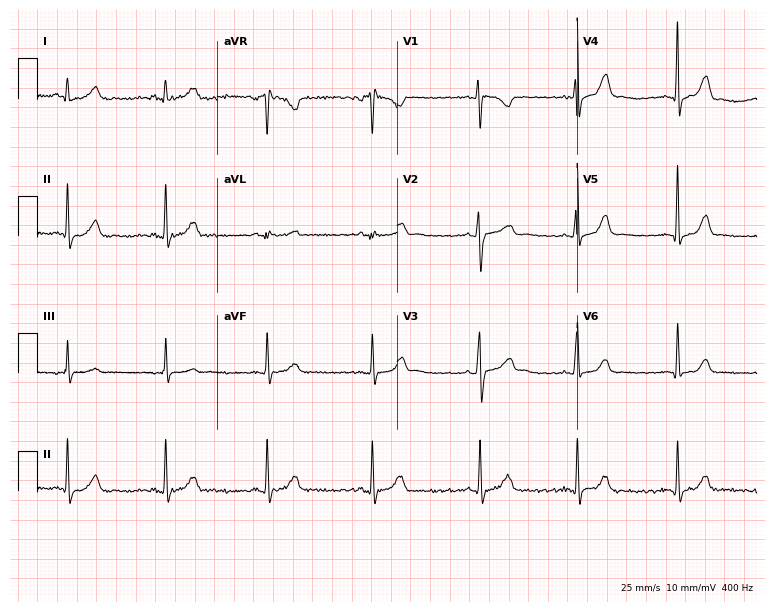
12-lead ECG from a woman, 29 years old. Recorded interpretation: within normal limits.